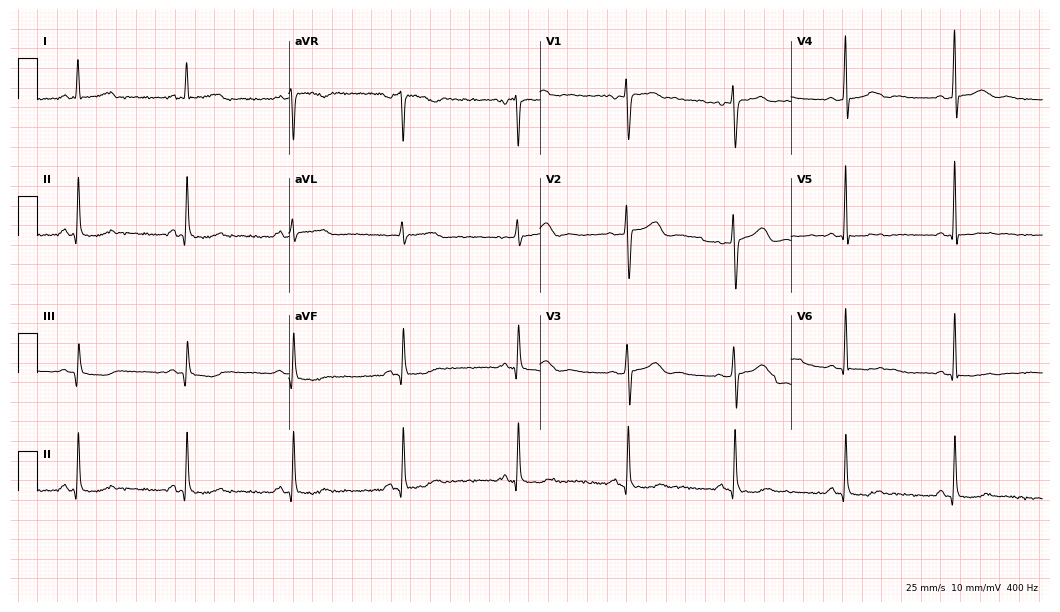
Electrocardiogram (10.2-second recording at 400 Hz), a woman, 47 years old. Of the six screened findings (first-degree AV block, right bundle branch block, left bundle branch block, sinus bradycardia, atrial fibrillation, sinus tachycardia), none is recorded. Only these six findings were labelled.